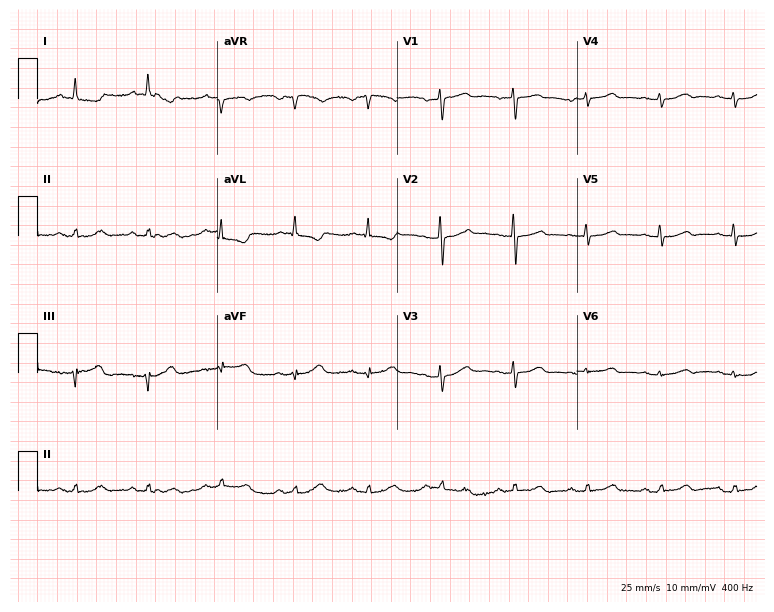
Standard 12-lead ECG recorded from a 71-year-old female (7.3-second recording at 400 Hz). None of these six findings is recorded: first-degree AV block, right bundle branch block, left bundle branch block, sinus bradycardia, atrial fibrillation, sinus tachycardia.